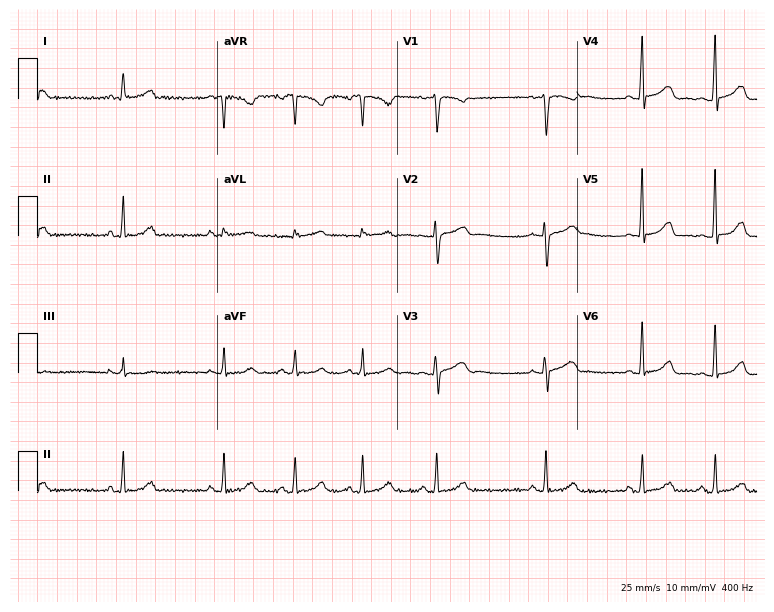
ECG — a woman, 19 years old. Labelled as a normal ECG.